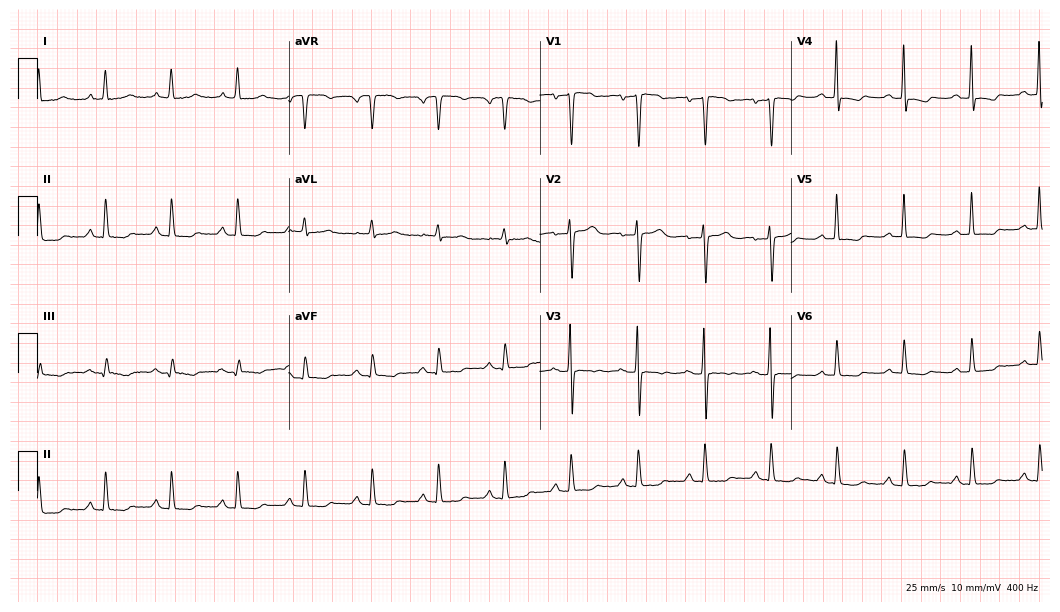
12-lead ECG from a female, 72 years old. No first-degree AV block, right bundle branch block (RBBB), left bundle branch block (LBBB), sinus bradycardia, atrial fibrillation (AF) or sinus tachycardia recorded for this tracing. Findings outside these six are not listed.